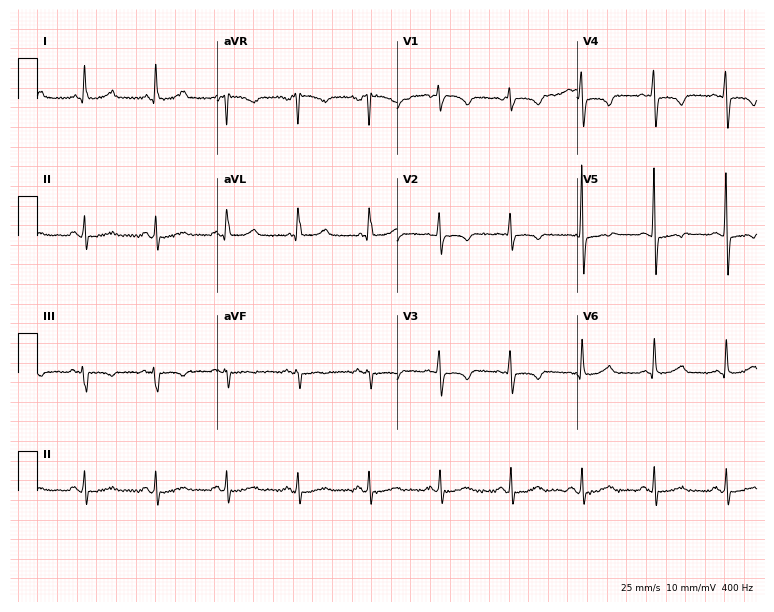
Electrocardiogram (7.3-second recording at 400 Hz), a female patient, 54 years old. Of the six screened findings (first-degree AV block, right bundle branch block, left bundle branch block, sinus bradycardia, atrial fibrillation, sinus tachycardia), none is recorded. Only these six findings were labelled.